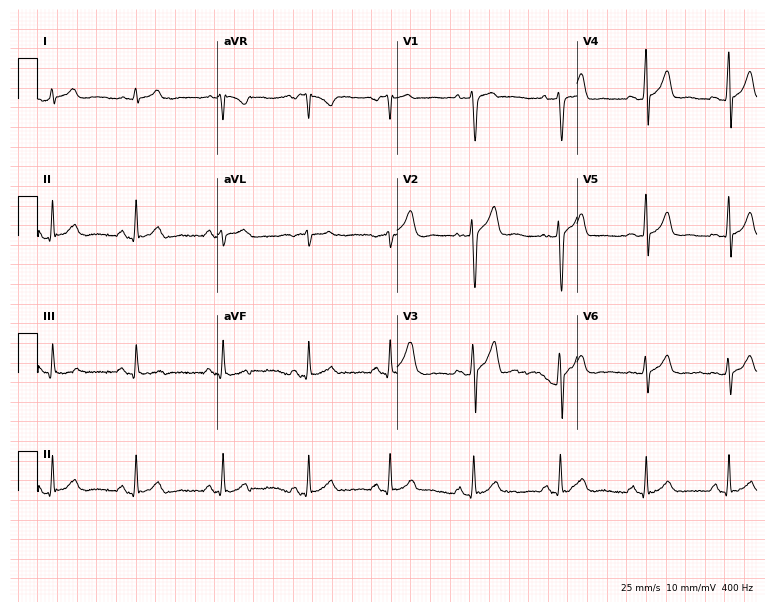
12-lead ECG from a male, 23 years old. Recorded interpretation: within normal limits.